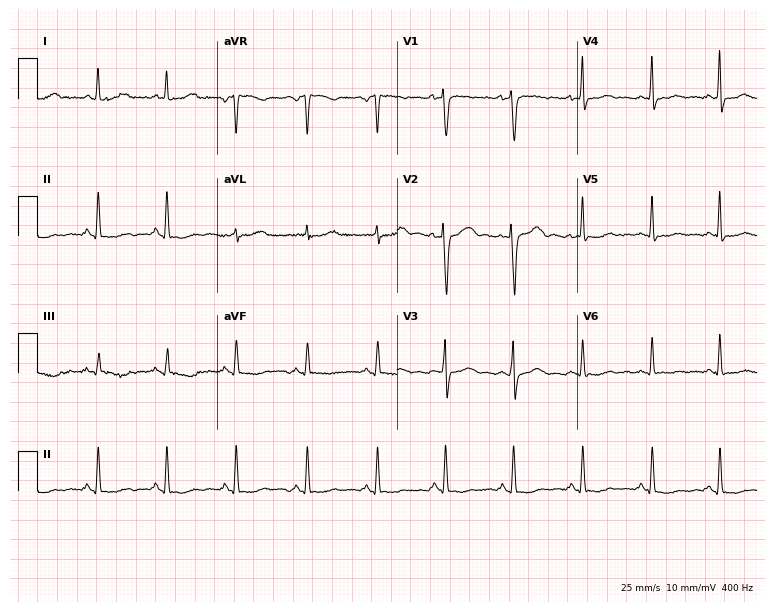
Standard 12-lead ECG recorded from a woman, 38 years old (7.3-second recording at 400 Hz). None of these six findings is recorded: first-degree AV block, right bundle branch block, left bundle branch block, sinus bradycardia, atrial fibrillation, sinus tachycardia.